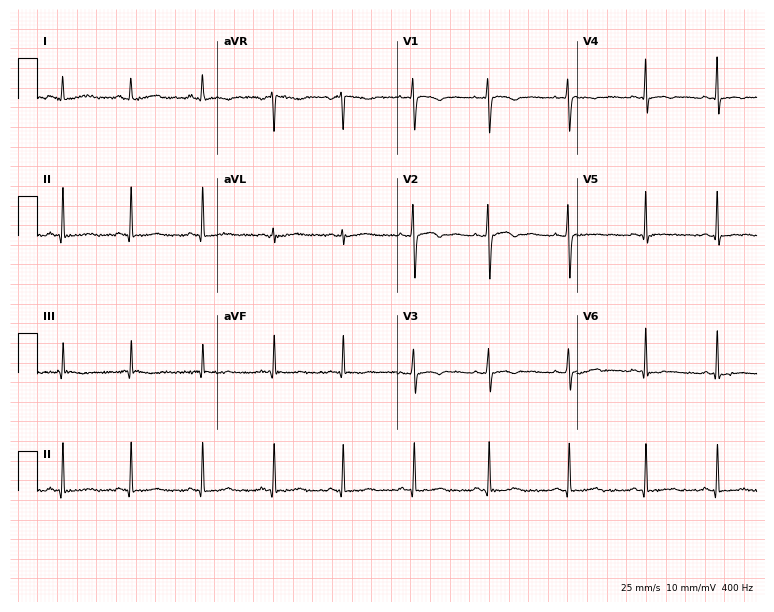
ECG — a woman, 32 years old. Screened for six findings — first-degree AV block, right bundle branch block (RBBB), left bundle branch block (LBBB), sinus bradycardia, atrial fibrillation (AF), sinus tachycardia — none is recorded. Other findings, if any, are not listed.